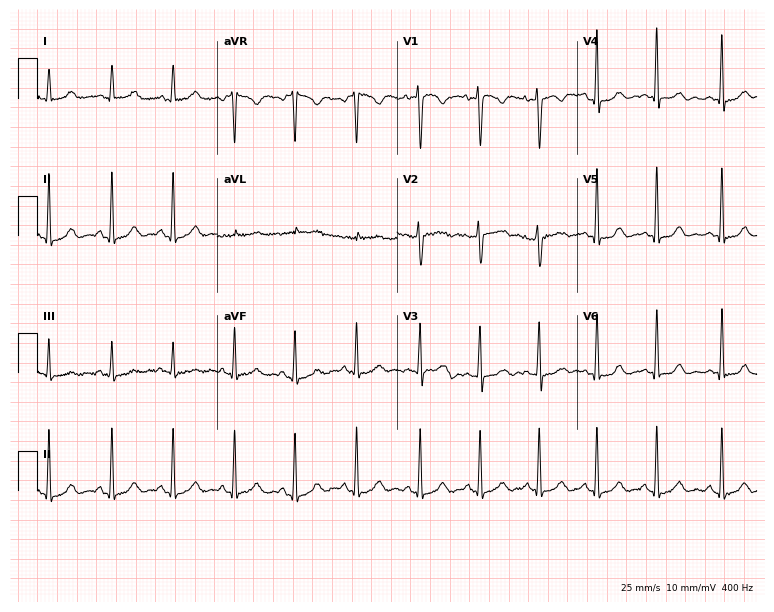
ECG (7.3-second recording at 400 Hz) — a woman, 34 years old. Screened for six findings — first-degree AV block, right bundle branch block, left bundle branch block, sinus bradycardia, atrial fibrillation, sinus tachycardia — none is recorded.